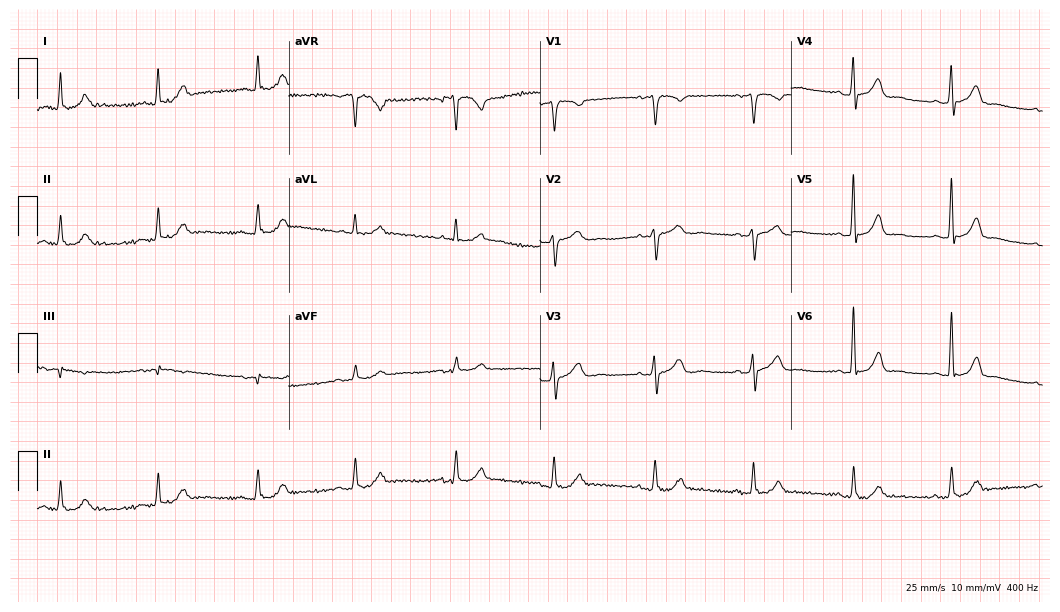
Resting 12-lead electrocardiogram (10.2-second recording at 400 Hz). Patient: a 69-year-old man. Read as a normal ECG.